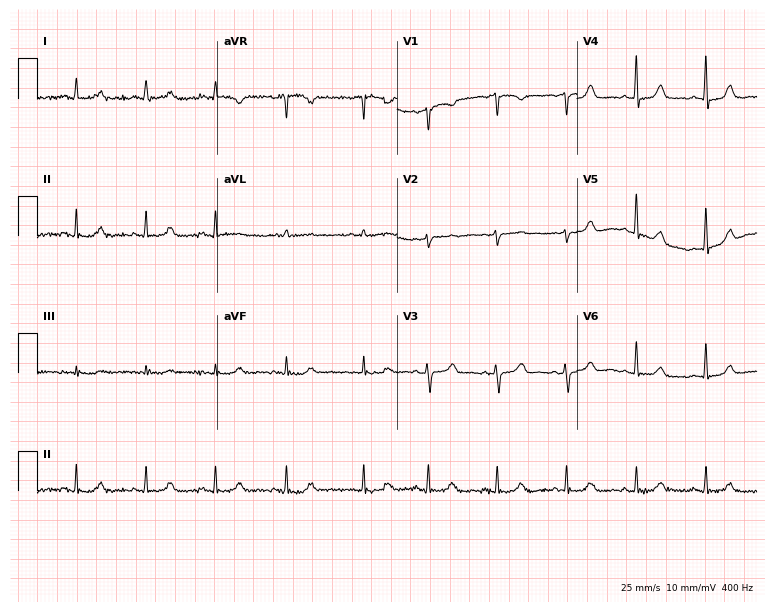
12-lead ECG (7.3-second recording at 400 Hz) from a 67-year-old male. Labelled as a normal ECG.